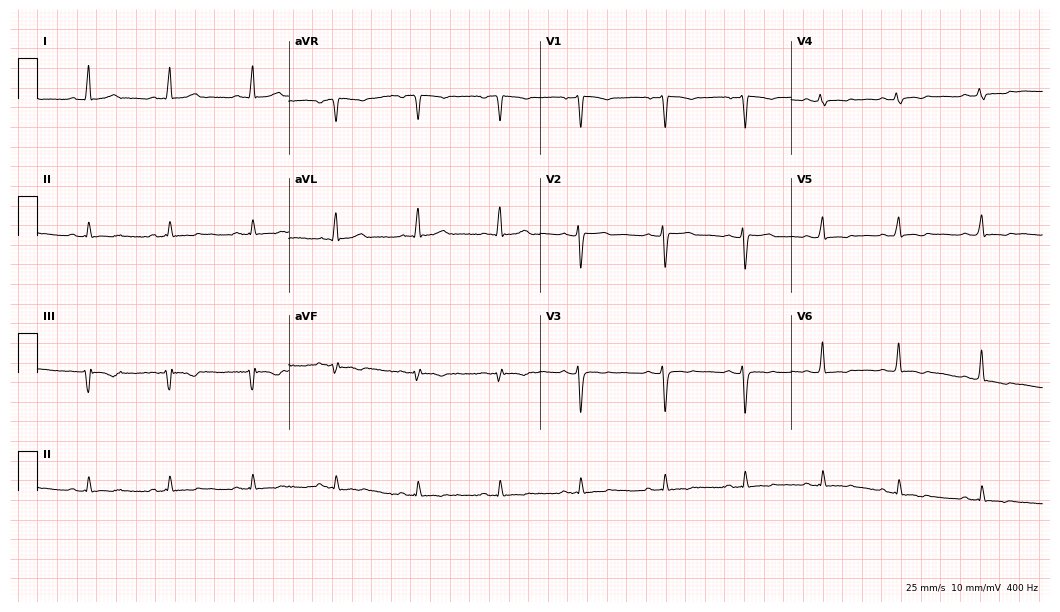
12-lead ECG from a woman, 48 years old. No first-degree AV block, right bundle branch block, left bundle branch block, sinus bradycardia, atrial fibrillation or sinus tachycardia recorded for this tracing.